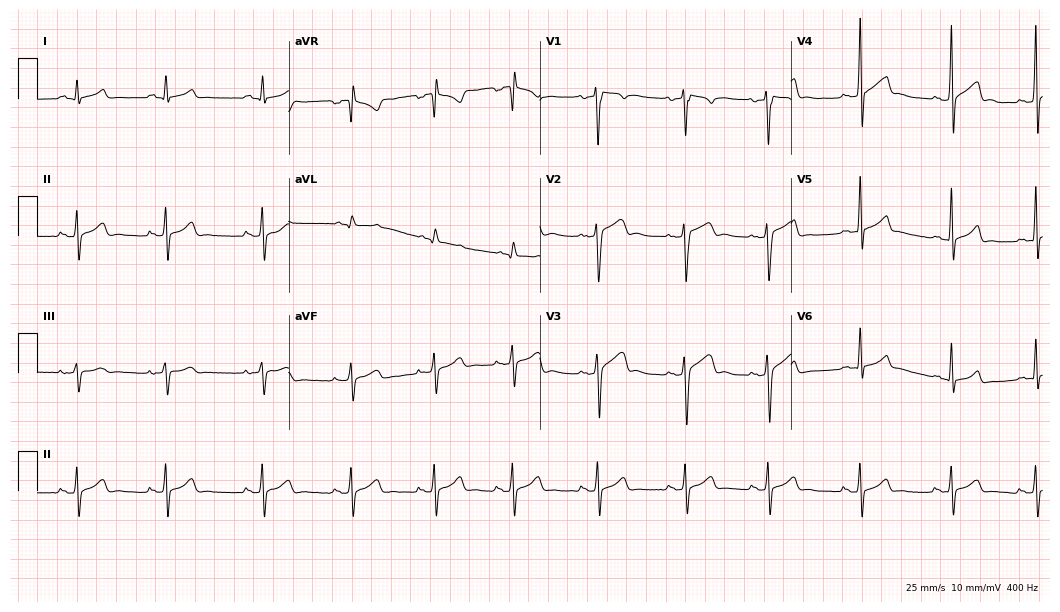
Electrocardiogram (10.2-second recording at 400 Hz), a male patient, 27 years old. Overall reading on record: normal ECG.